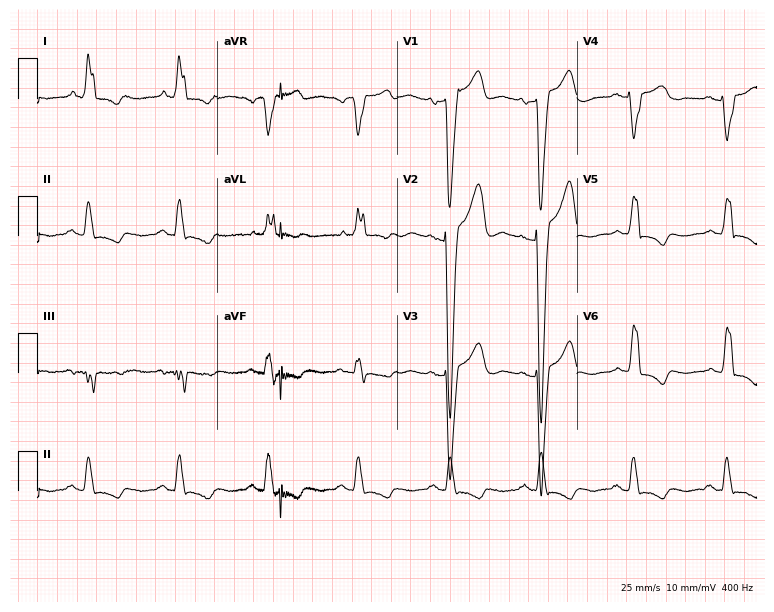
12-lead ECG from a man, 77 years old. Screened for six findings — first-degree AV block, right bundle branch block, left bundle branch block, sinus bradycardia, atrial fibrillation, sinus tachycardia — none is recorded. Other findings, if any, are not listed.